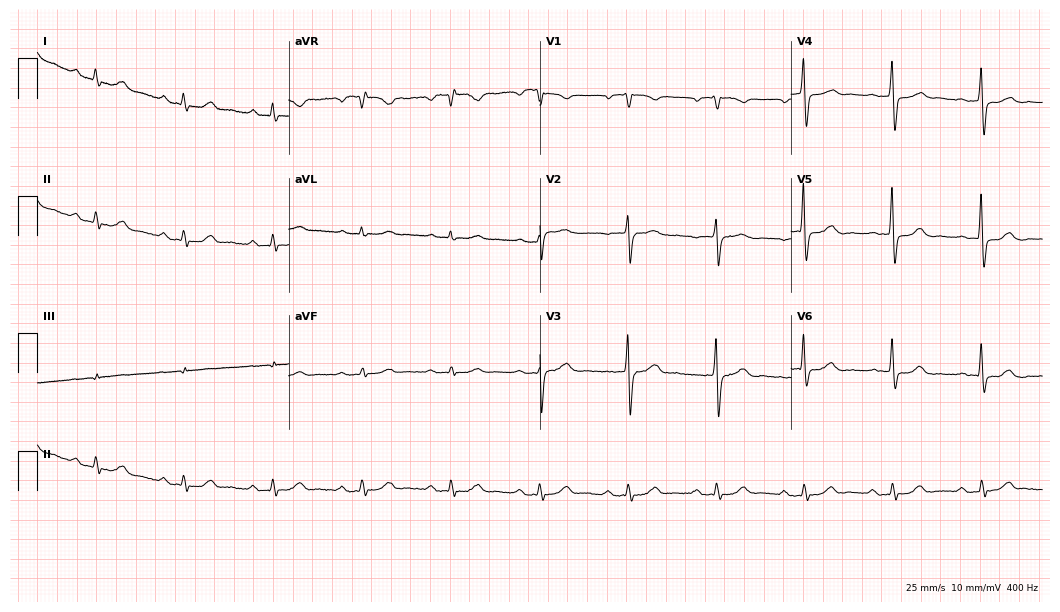
ECG (10.2-second recording at 400 Hz) — a male, 69 years old. Screened for six findings — first-degree AV block, right bundle branch block, left bundle branch block, sinus bradycardia, atrial fibrillation, sinus tachycardia — none is recorded. Other findings, if any, are not listed.